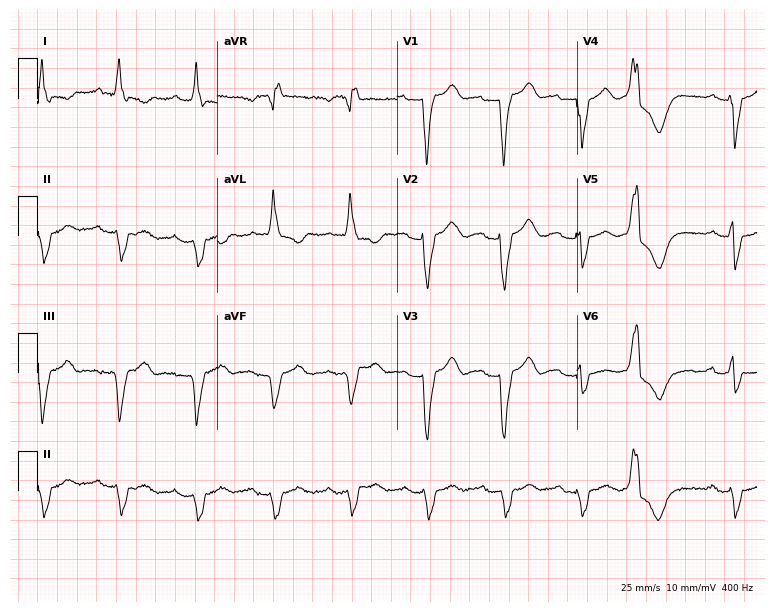
Electrocardiogram, a 76-year-old woman. Interpretation includes right bundle branch block (RBBB).